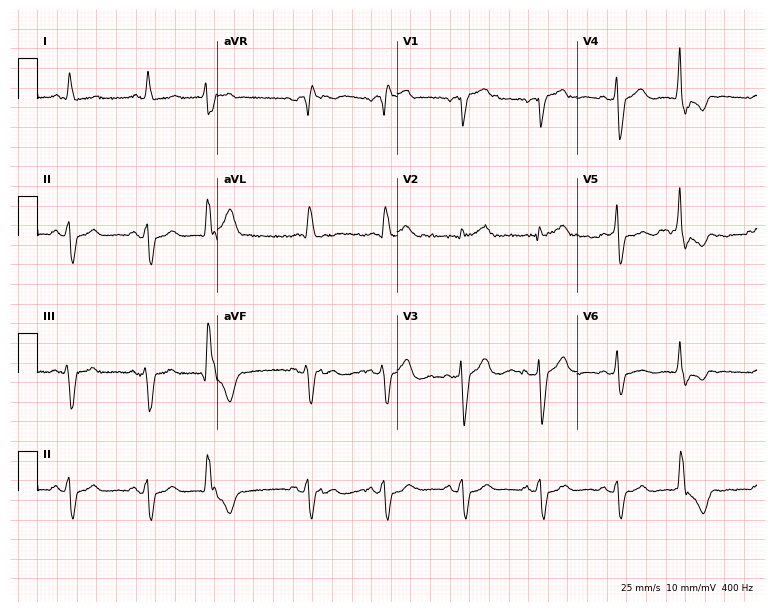
Resting 12-lead electrocardiogram (7.3-second recording at 400 Hz). Patient: a male, 68 years old. The tracing shows right bundle branch block.